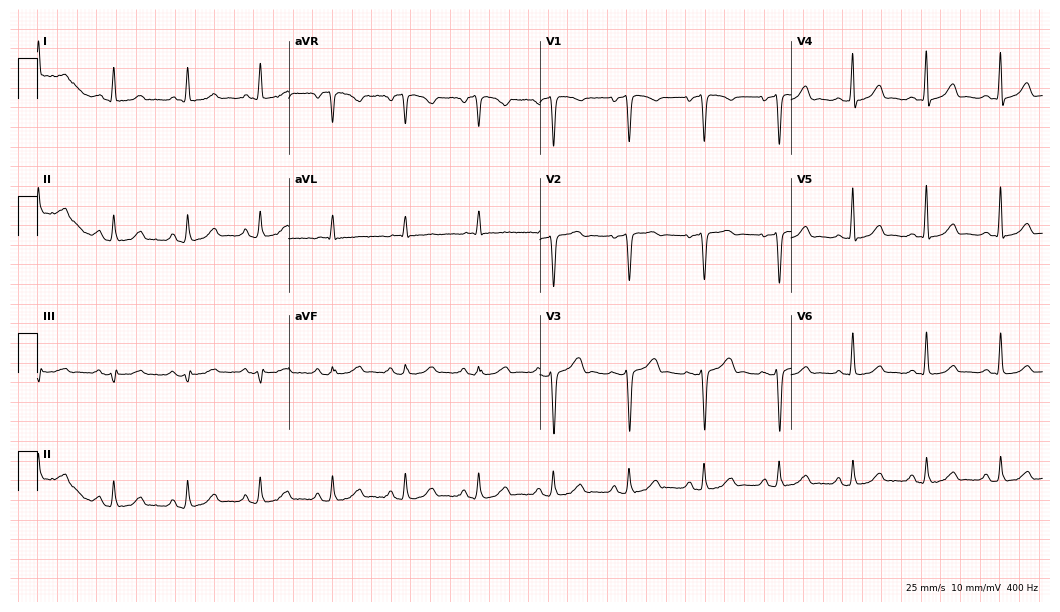
12-lead ECG from a 47-year-old woman. No first-degree AV block, right bundle branch block, left bundle branch block, sinus bradycardia, atrial fibrillation or sinus tachycardia recorded for this tracing.